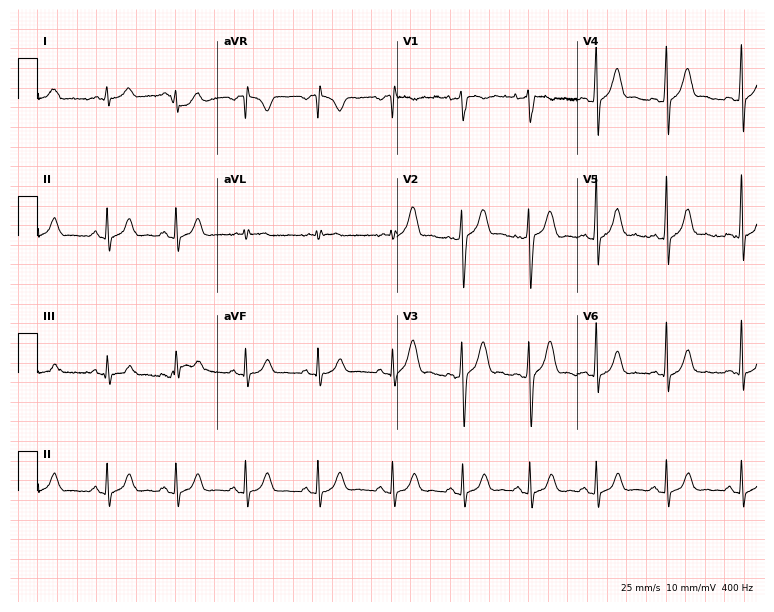
Standard 12-lead ECG recorded from a man, 18 years old (7.3-second recording at 400 Hz). Read as a normal ECG.